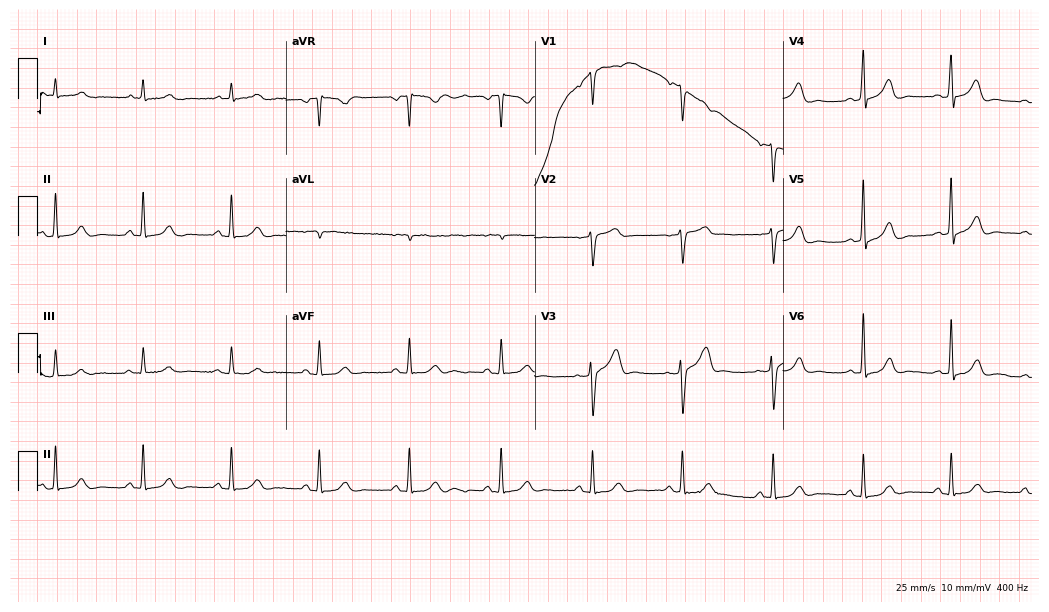
ECG — a 64-year-old male. Labelled as a normal ECG.